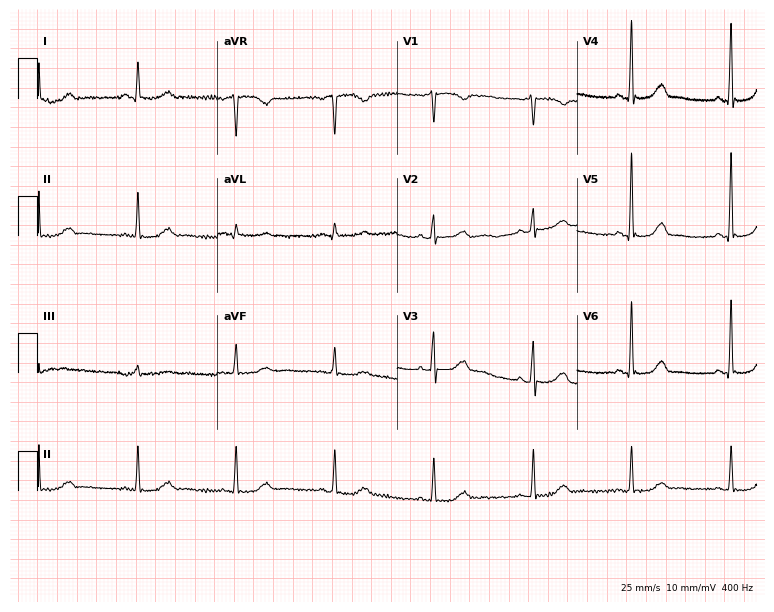
Resting 12-lead electrocardiogram. Patient: a female, 64 years old. Read as a normal ECG.